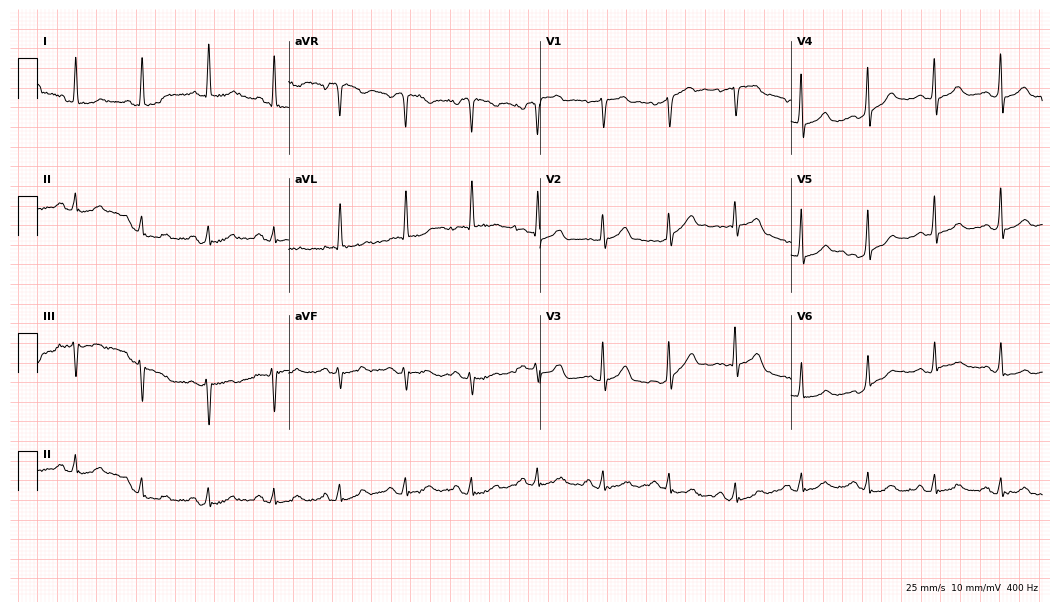
Electrocardiogram, a woman, 71 years old. Of the six screened findings (first-degree AV block, right bundle branch block, left bundle branch block, sinus bradycardia, atrial fibrillation, sinus tachycardia), none is recorded. Findings outside these six are not listed.